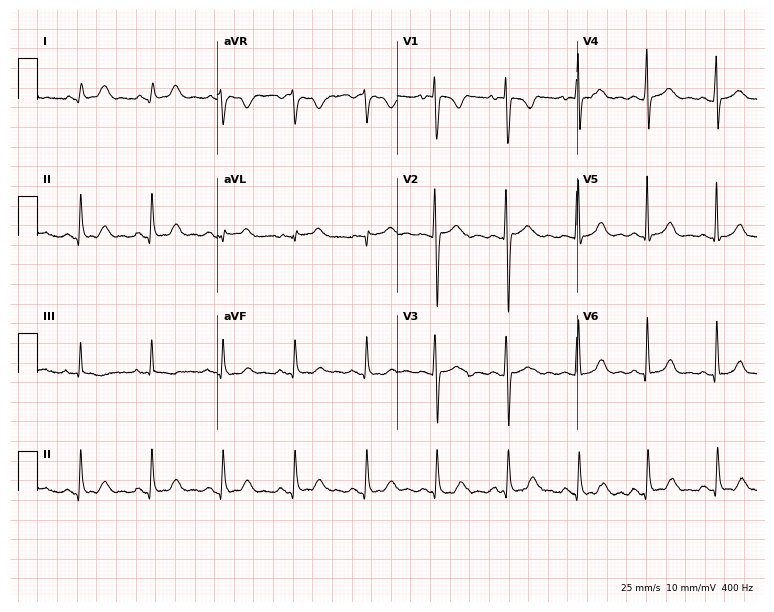
Standard 12-lead ECG recorded from a woman, 25 years old (7.3-second recording at 400 Hz). None of these six findings is recorded: first-degree AV block, right bundle branch block, left bundle branch block, sinus bradycardia, atrial fibrillation, sinus tachycardia. Only these six findings were labelled.